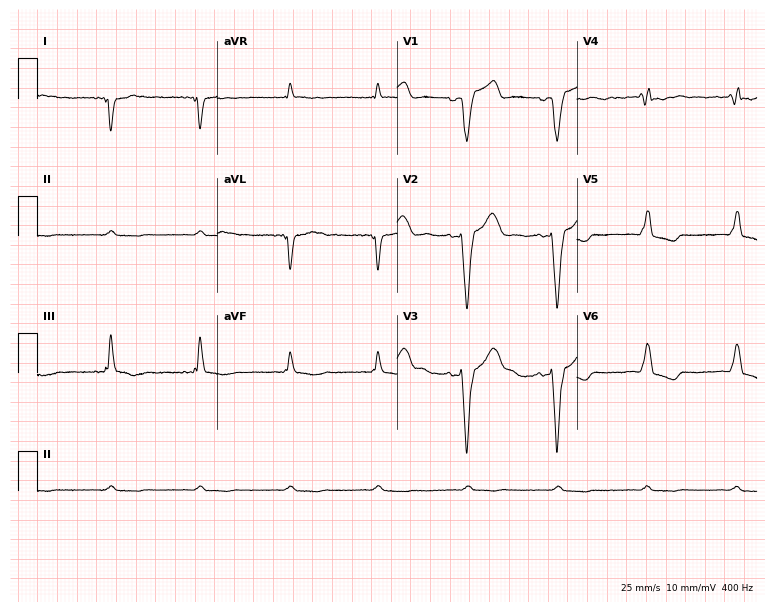
12-lead ECG (7.3-second recording at 400 Hz) from a woman, 68 years old. Screened for six findings — first-degree AV block, right bundle branch block, left bundle branch block, sinus bradycardia, atrial fibrillation, sinus tachycardia — none is recorded. Only these six findings were labelled.